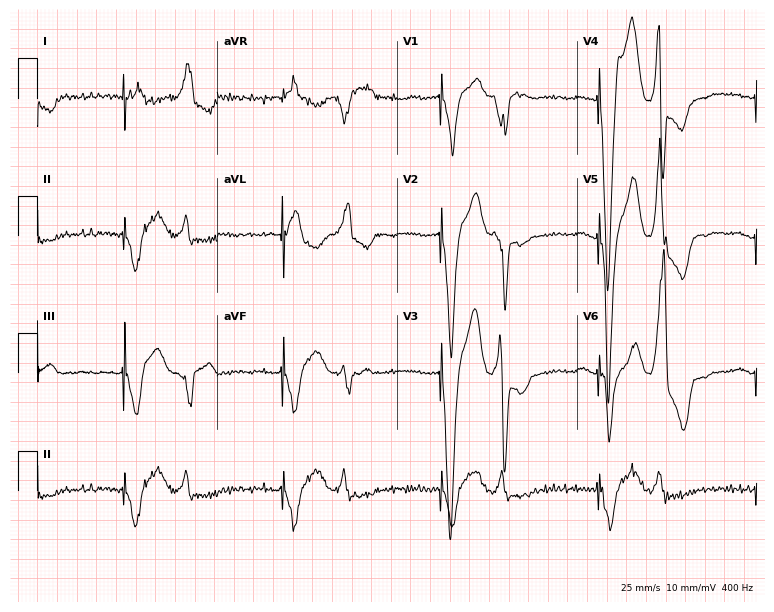
Standard 12-lead ECG recorded from a 74-year-old man (7.3-second recording at 400 Hz). None of these six findings is recorded: first-degree AV block, right bundle branch block (RBBB), left bundle branch block (LBBB), sinus bradycardia, atrial fibrillation (AF), sinus tachycardia.